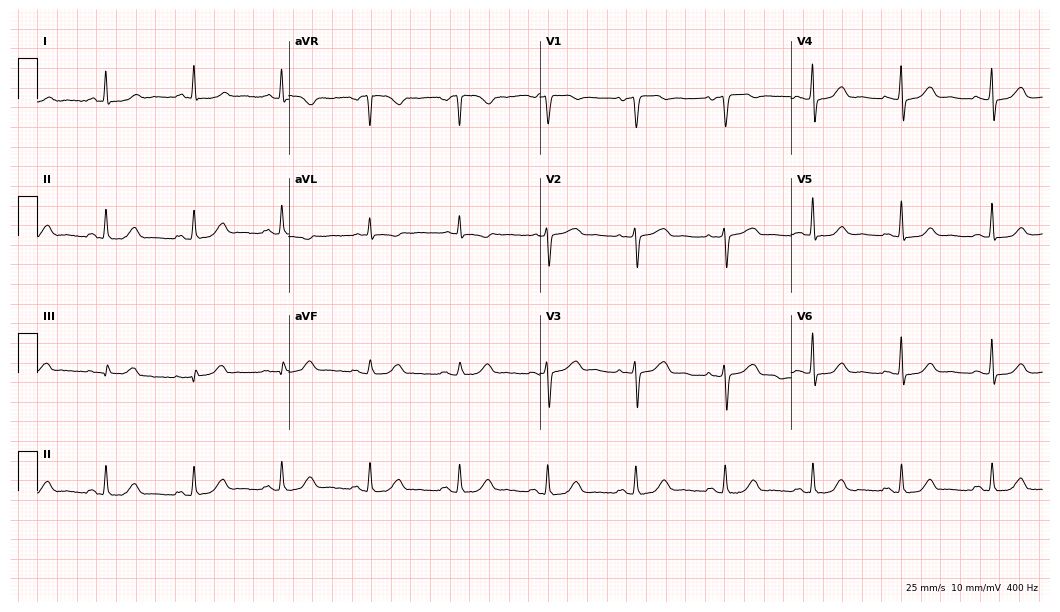
Standard 12-lead ECG recorded from a 64-year-old female (10.2-second recording at 400 Hz). Read as a normal ECG.